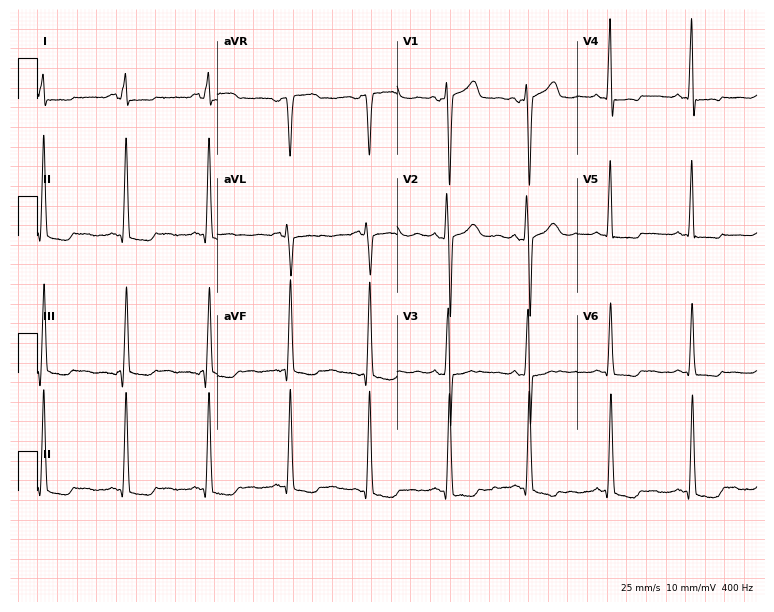
Electrocardiogram, a woman, 18 years old. Of the six screened findings (first-degree AV block, right bundle branch block (RBBB), left bundle branch block (LBBB), sinus bradycardia, atrial fibrillation (AF), sinus tachycardia), none is recorded. Findings outside these six are not listed.